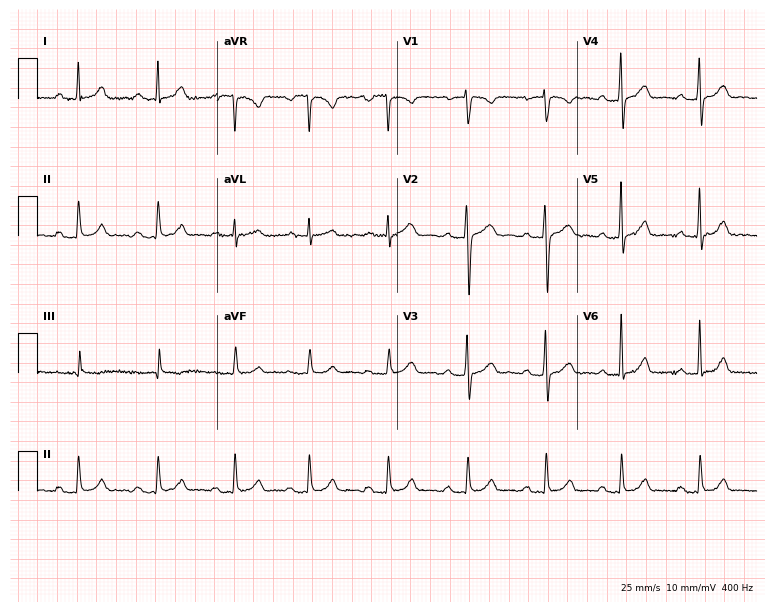
ECG (7.3-second recording at 400 Hz) — a 26-year-old female patient. Screened for six findings — first-degree AV block, right bundle branch block (RBBB), left bundle branch block (LBBB), sinus bradycardia, atrial fibrillation (AF), sinus tachycardia — none is recorded. Only these six findings were labelled.